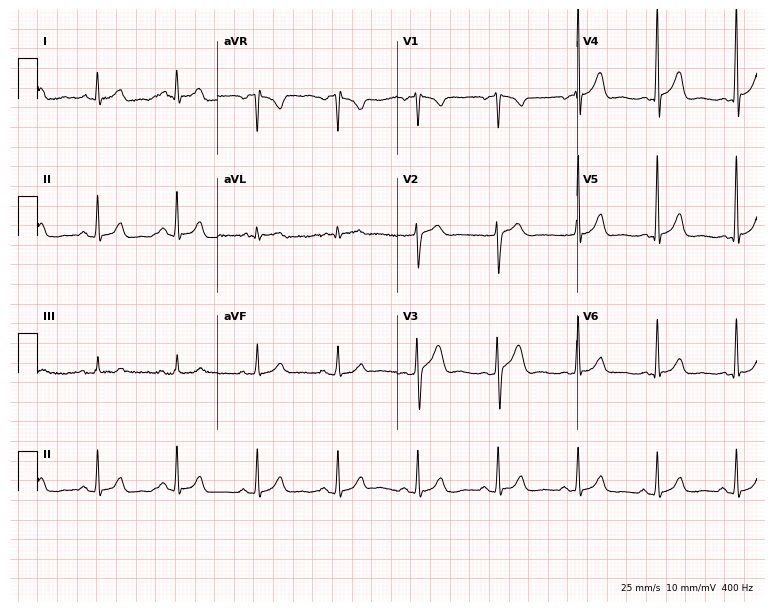
12-lead ECG from a 45-year-old man. No first-degree AV block, right bundle branch block (RBBB), left bundle branch block (LBBB), sinus bradycardia, atrial fibrillation (AF) or sinus tachycardia recorded for this tracing. Other findings, if any, are not listed.